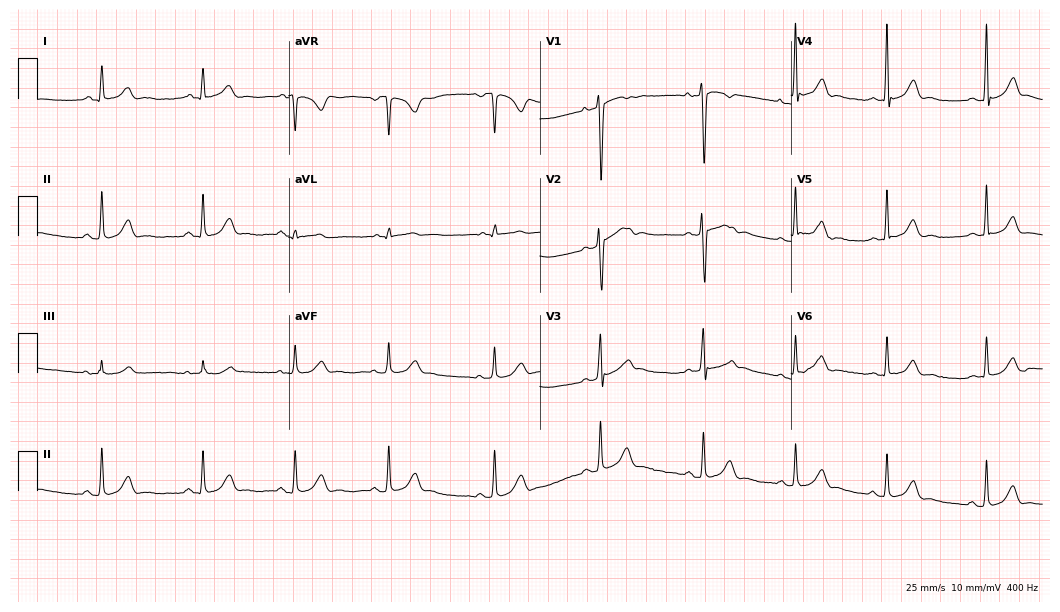
12-lead ECG from a 17-year-old male patient. Labelled as a normal ECG.